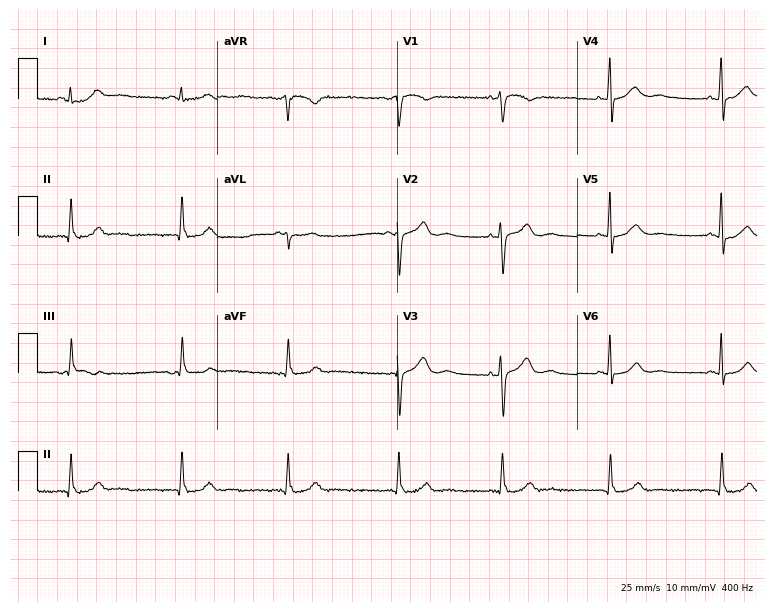
ECG — a 43-year-old woman. Screened for six findings — first-degree AV block, right bundle branch block, left bundle branch block, sinus bradycardia, atrial fibrillation, sinus tachycardia — none is recorded.